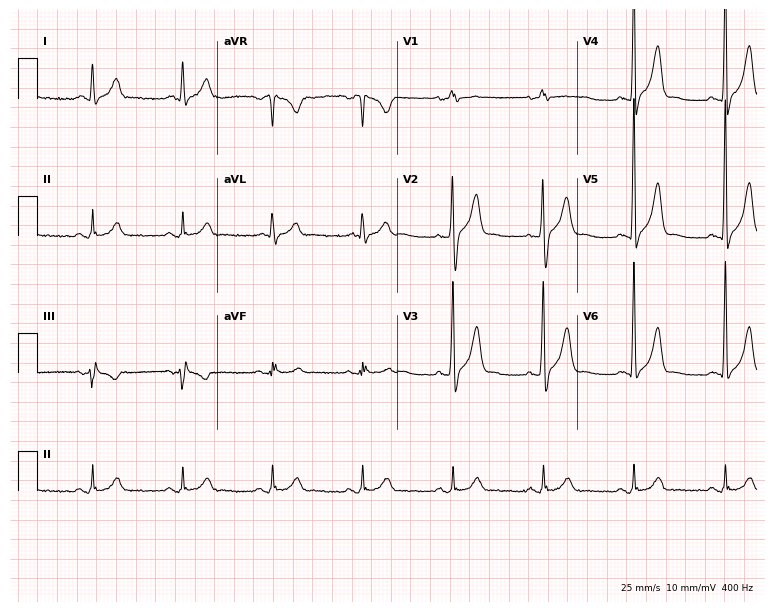
12-lead ECG (7.3-second recording at 400 Hz) from a male, 76 years old. Labelled as a normal ECG.